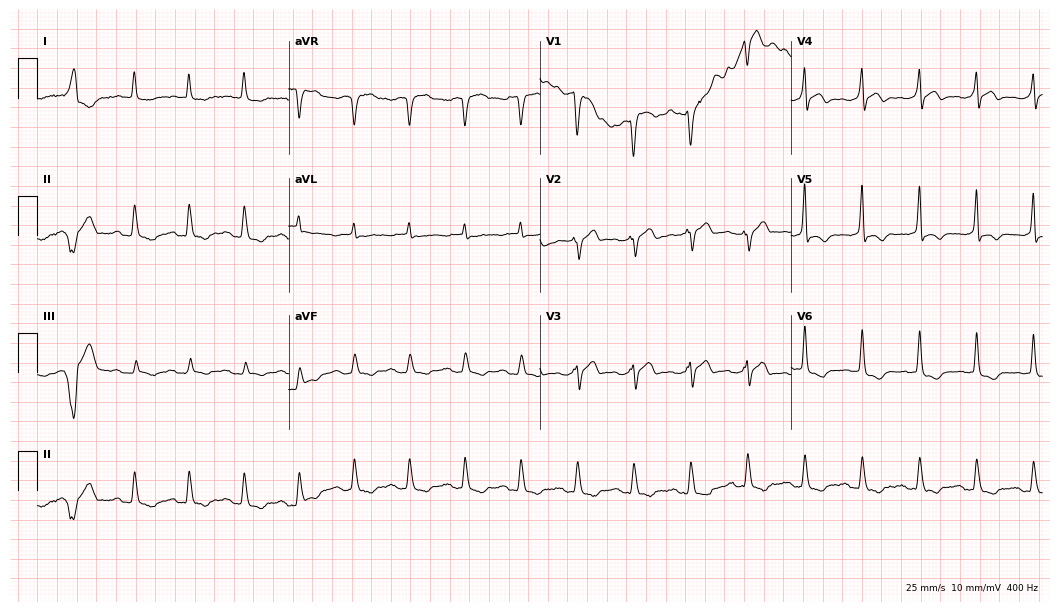
Electrocardiogram, a male, 79 years old. Of the six screened findings (first-degree AV block, right bundle branch block (RBBB), left bundle branch block (LBBB), sinus bradycardia, atrial fibrillation (AF), sinus tachycardia), none is recorded.